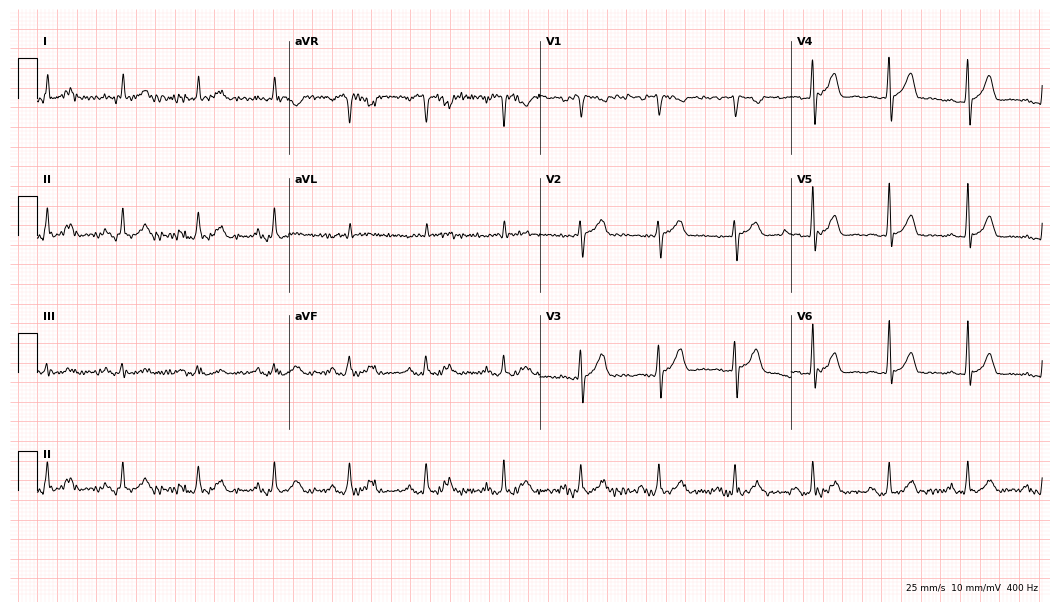
Electrocardiogram (10.2-second recording at 400 Hz), an 81-year-old man. Overall reading on record: normal ECG.